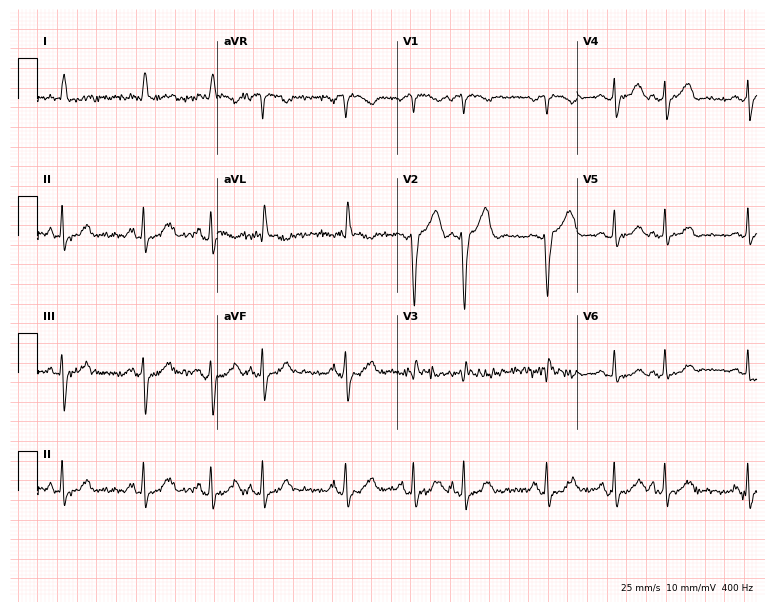
ECG (7.3-second recording at 400 Hz) — a 79-year-old male patient. Screened for six findings — first-degree AV block, right bundle branch block (RBBB), left bundle branch block (LBBB), sinus bradycardia, atrial fibrillation (AF), sinus tachycardia — none is recorded.